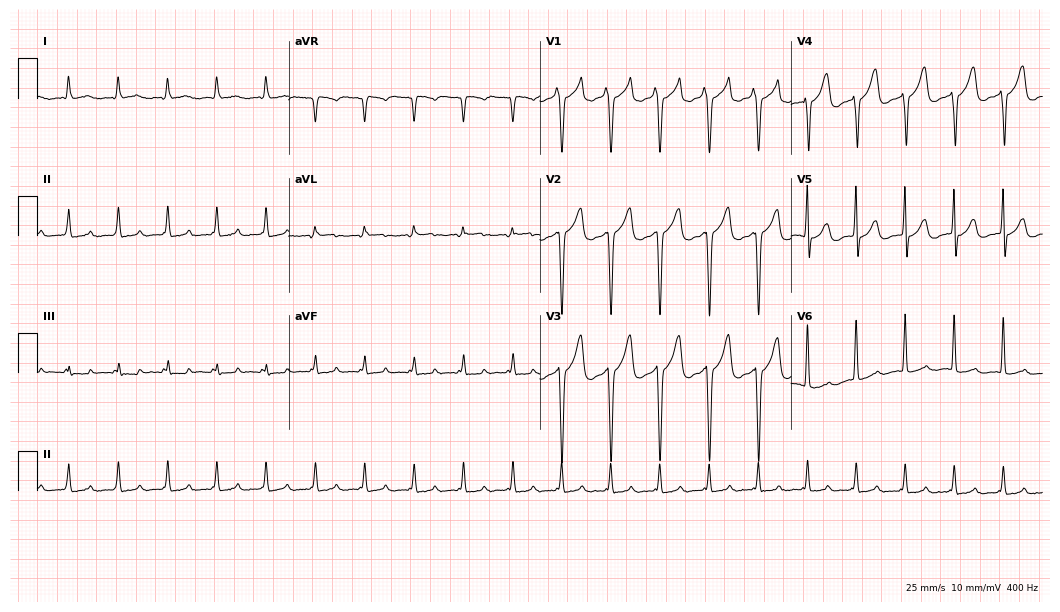
12-lead ECG from a male, 75 years old (10.2-second recording at 400 Hz). Shows sinus tachycardia (a sinus rate of 100 beats per minute or more).